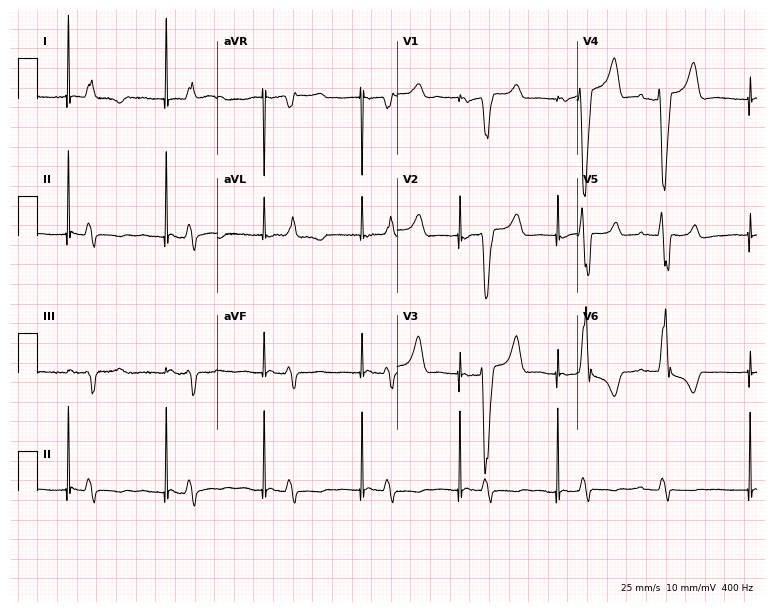
Standard 12-lead ECG recorded from a female, 74 years old (7.3-second recording at 400 Hz). None of these six findings is recorded: first-degree AV block, right bundle branch block, left bundle branch block, sinus bradycardia, atrial fibrillation, sinus tachycardia.